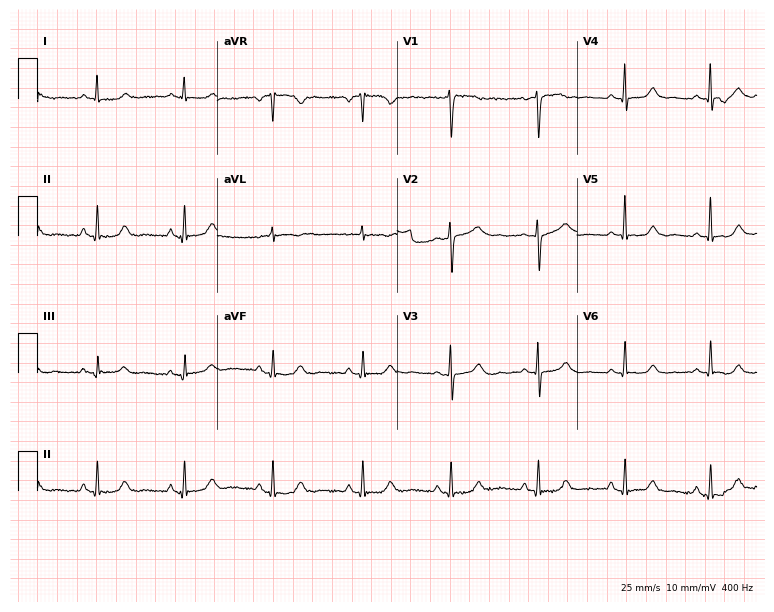
12-lead ECG from a 64-year-old woman (7.3-second recording at 400 Hz). Recorded interpretation: within normal limits.